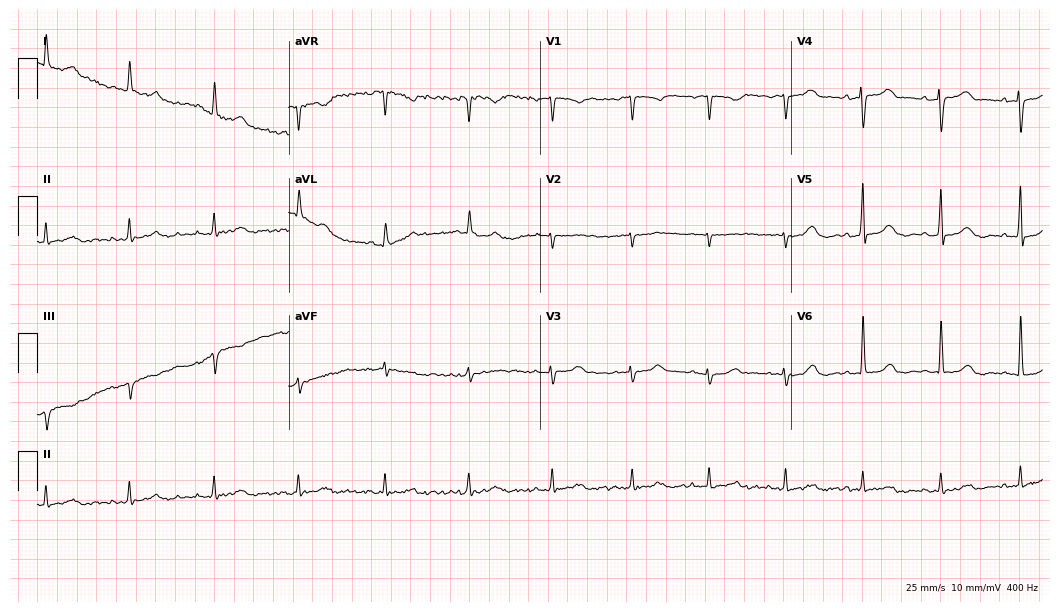
ECG (10.2-second recording at 400 Hz) — a 77-year-old female. Labelled as a normal ECG.